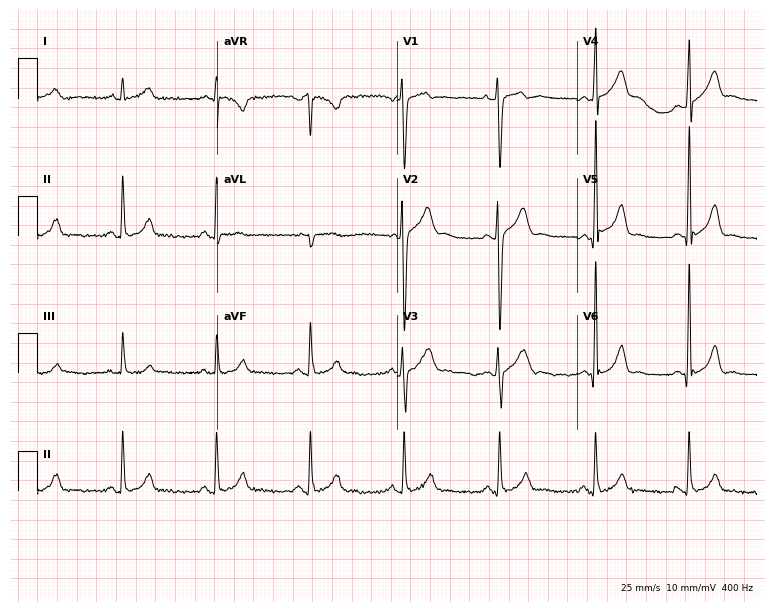
Standard 12-lead ECG recorded from a man, 32 years old. None of these six findings is recorded: first-degree AV block, right bundle branch block, left bundle branch block, sinus bradycardia, atrial fibrillation, sinus tachycardia.